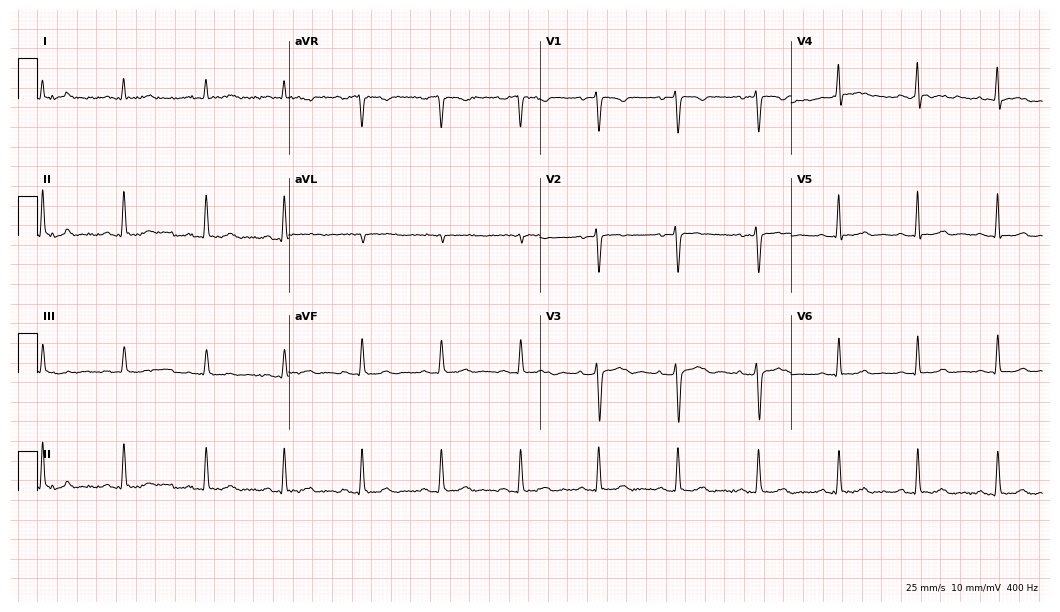
Resting 12-lead electrocardiogram (10.2-second recording at 400 Hz). Patient: a female, 46 years old. None of these six findings is recorded: first-degree AV block, right bundle branch block, left bundle branch block, sinus bradycardia, atrial fibrillation, sinus tachycardia.